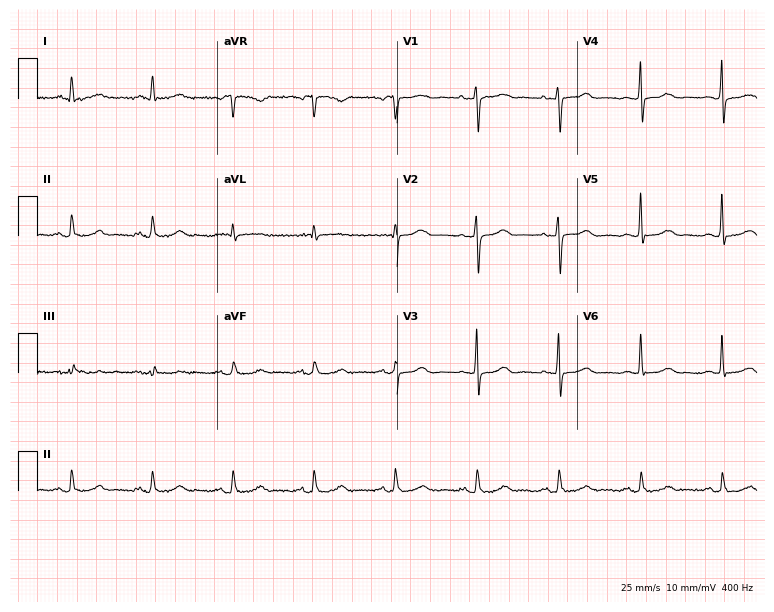
Standard 12-lead ECG recorded from a female, 82 years old (7.3-second recording at 400 Hz). Read as a normal ECG.